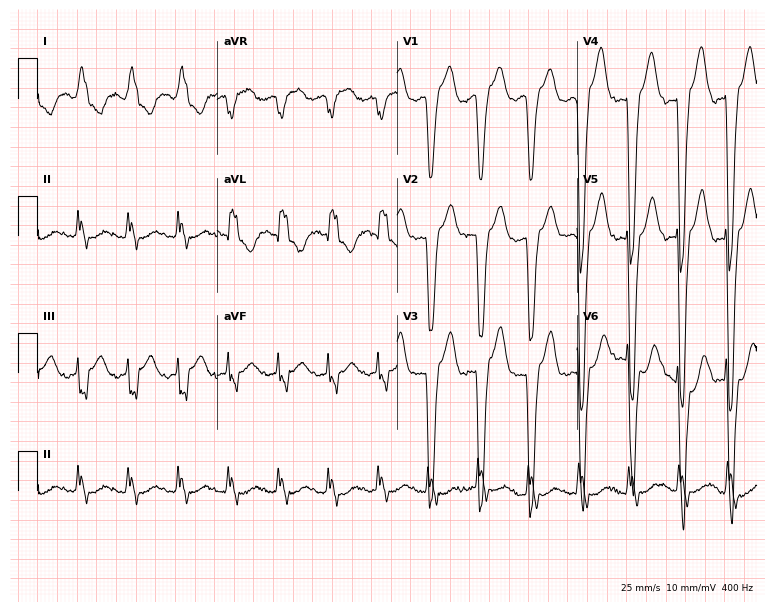
Resting 12-lead electrocardiogram. Patient: a female, 85 years old. The tracing shows left bundle branch block, sinus tachycardia (a sinus rate of 100 beats per minute or more).